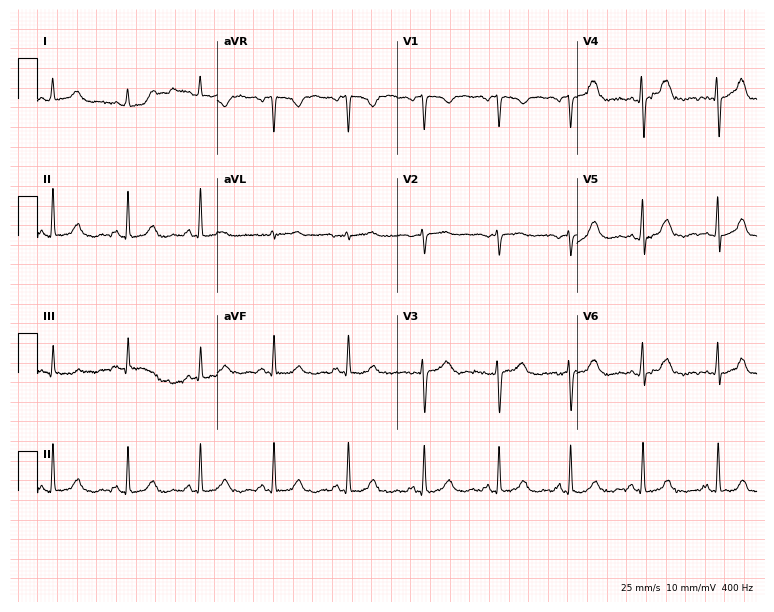
ECG (7.3-second recording at 400 Hz) — a female, 40 years old. Labelled as a normal ECG.